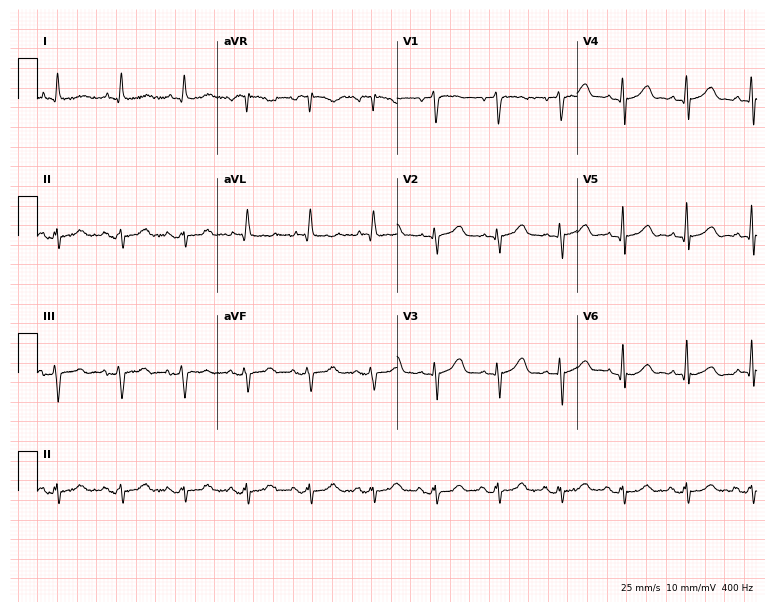
Resting 12-lead electrocardiogram. Patient: a female, 66 years old. None of these six findings is recorded: first-degree AV block, right bundle branch block (RBBB), left bundle branch block (LBBB), sinus bradycardia, atrial fibrillation (AF), sinus tachycardia.